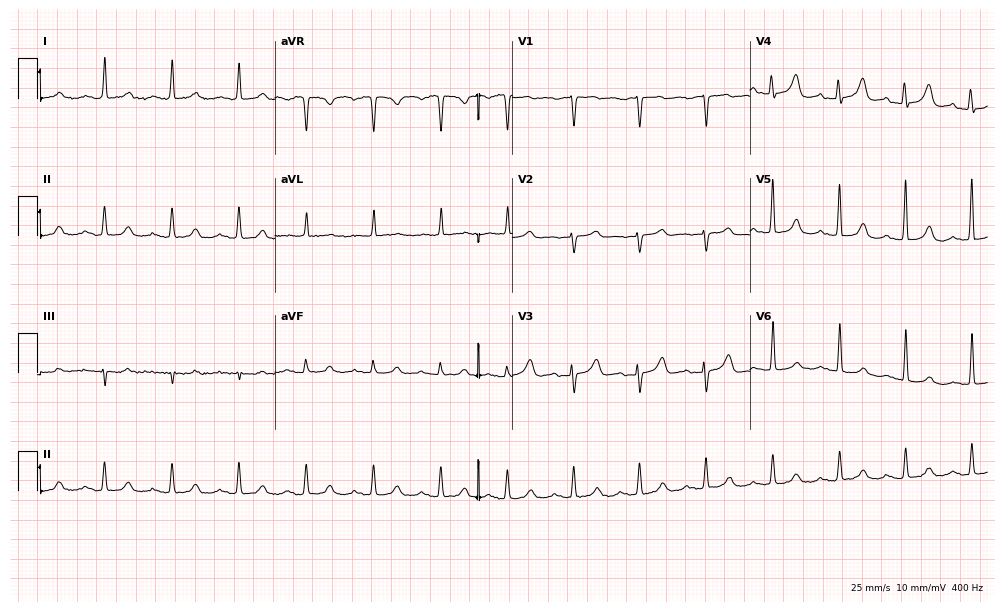
Standard 12-lead ECG recorded from an 83-year-old female patient (9.7-second recording at 400 Hz). Read as a normal ECG.